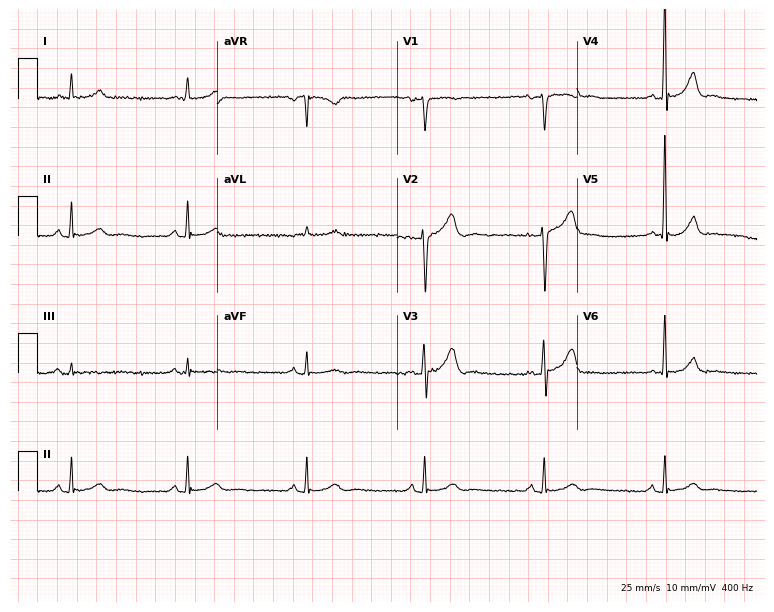
12-lead ECG from a male patient, 69 years old. Shows sinus bradycardia (a sinus rate of 50 beats per minute or less).